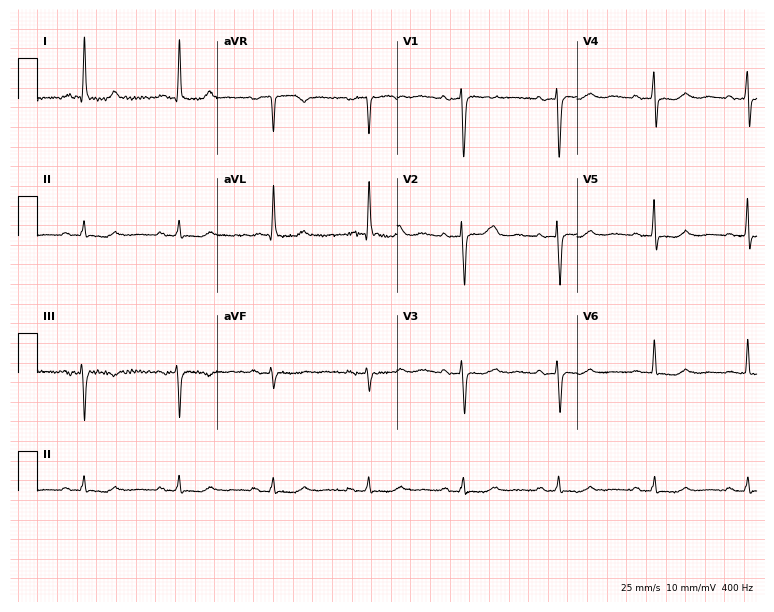
Electrocardiogram (7.3-second recording at 400 Hz), a 78-year-old female. Overall reading on record: normal ECG.